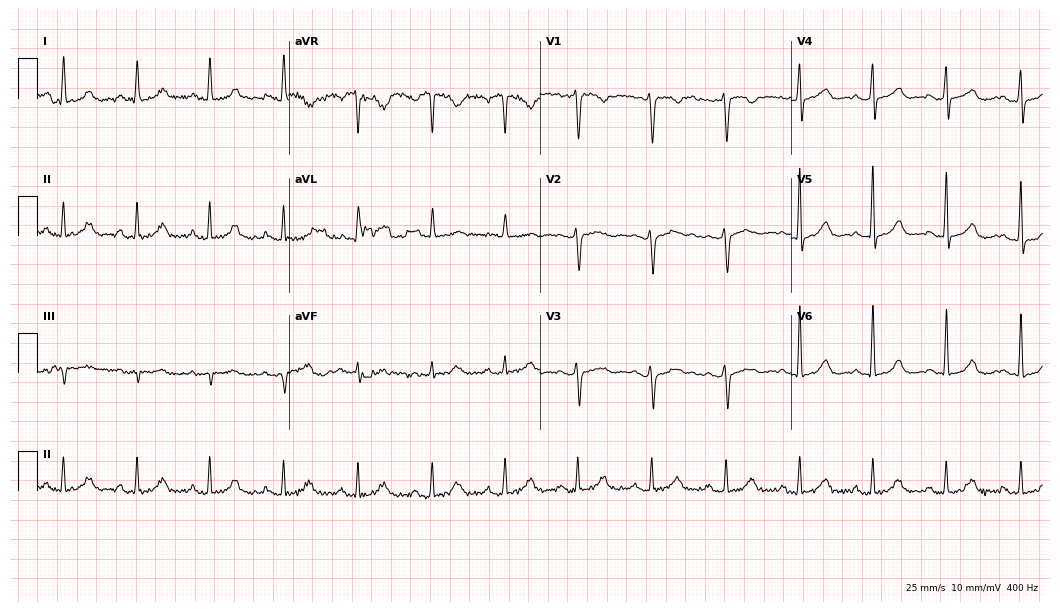
ECG (10.2-second recording at 400 Hz) — a female, 50 years old. Screened for six findings — first-degree AV block, right bundle branch block, left bundle branch block, sinus bradycardia, atrial fibrillation, sinus tachycardia — none is recorded. Findings outside these six are not listed.